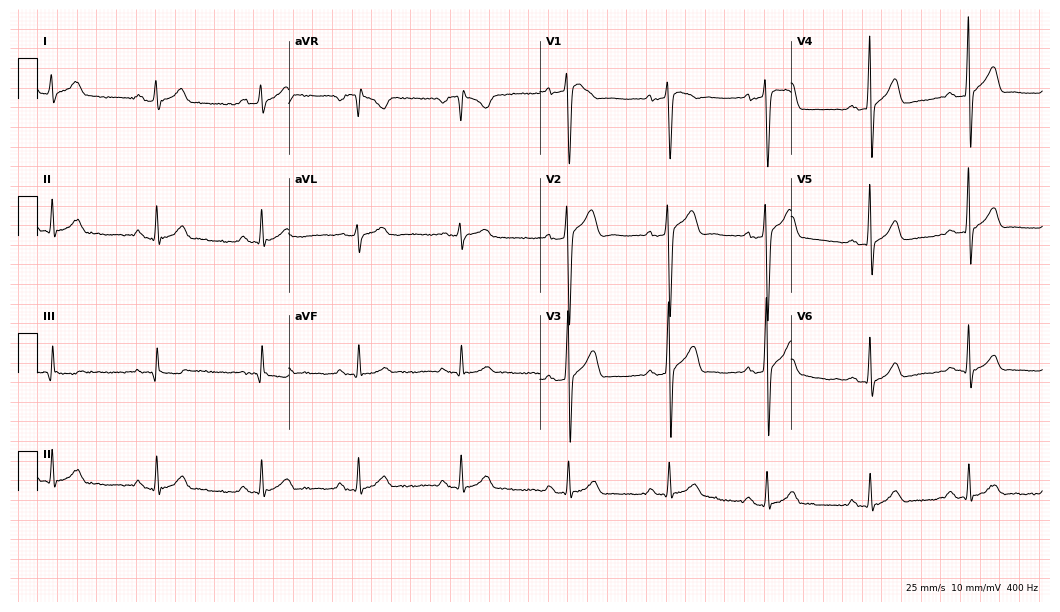
ECG (10.2-second recording at 400 Hz) — a man, 26 years old. Labelled as a normal ECG.